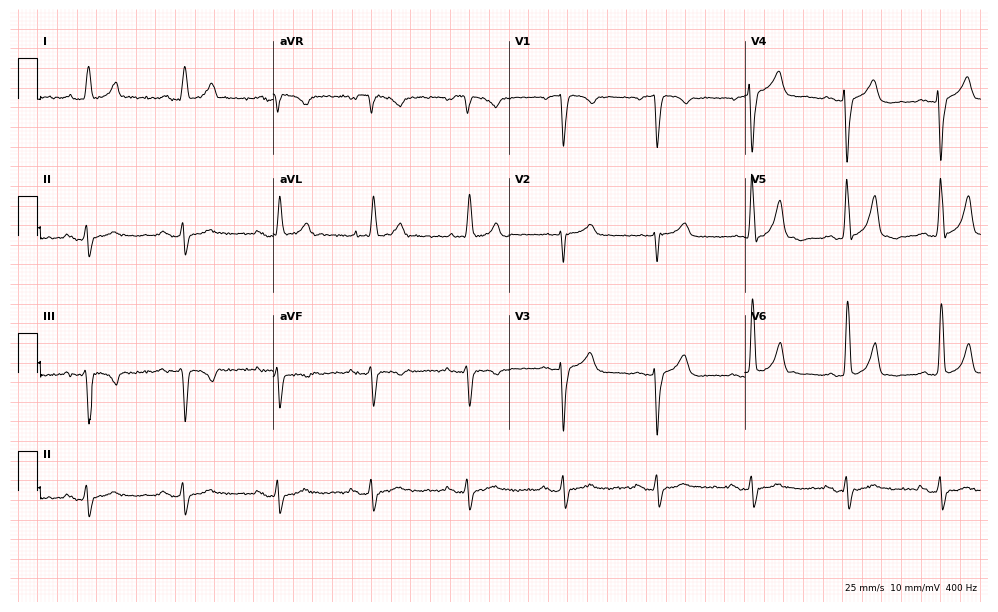
Electrocardiogram, a male patient, 77 years old. Of the six screened findings (first-degree AV block, right bundle branch block, left bundle branch block, sinus bradycardia, atrial fibrillation, sinus tachycardia), none is recorded.